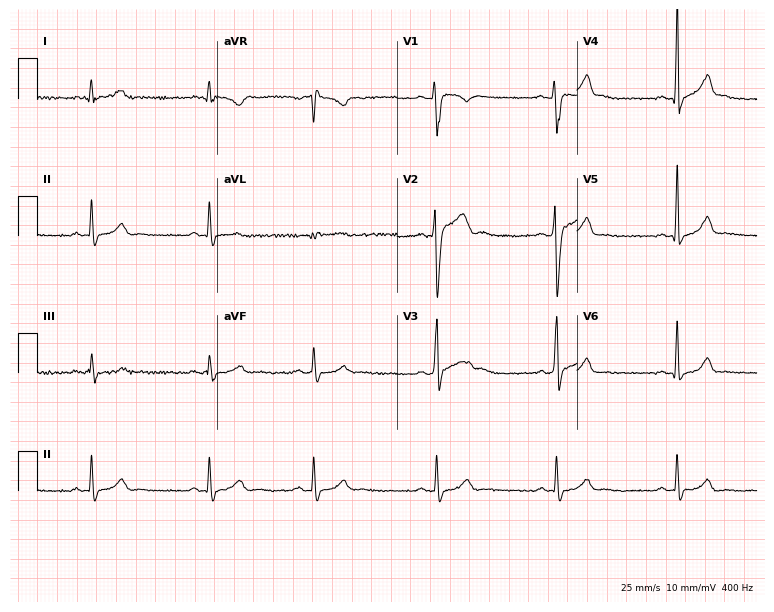
Standard 12-lead ECG recorded from a male, 25 years old (7.3-second recording at 400 Hz). None of these six findings is recorded: first-degree AV block, right bundle branch block (RBBB), left bundle branch block (LBBB), sinus bradycardia, atrial fibrillation (AF), sinus tachycardia. Findings outside these six are not listed.